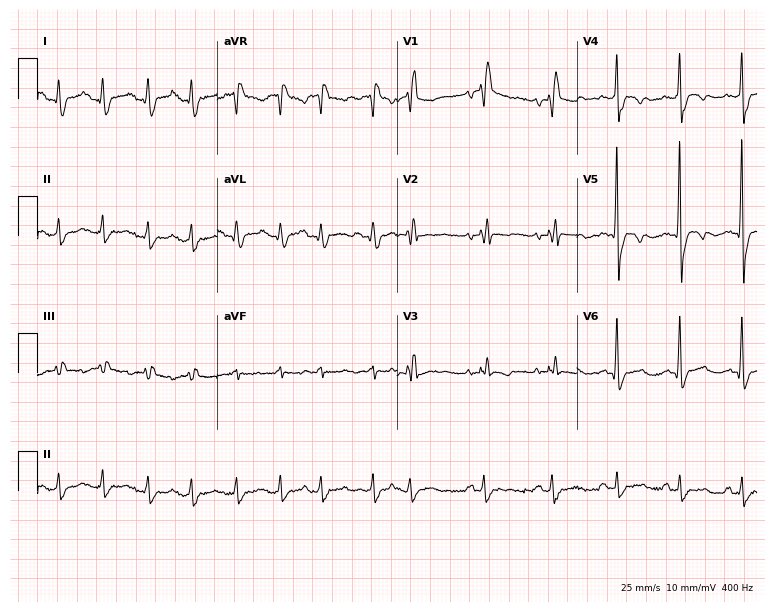
Standard 12-lead ECG recorded from a female, 47 years old (7.3-second recording at 400 Hz). The tracing shows right bundle branch block, atrial fibrillation.